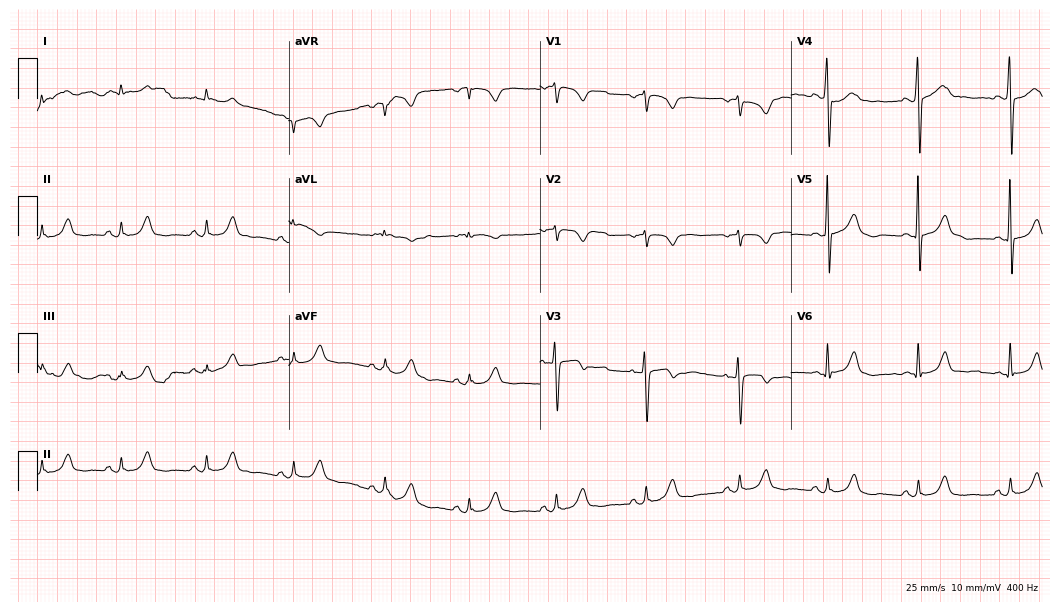
ECG — a 58-year-old male. Screened for six findings — first-degree AV block, right bundle branch block, left bundle branch block, sinus bradycardia, atrial fibrillation, sinus tachycardia — none is recorded. Other findings, if any, are not listed.